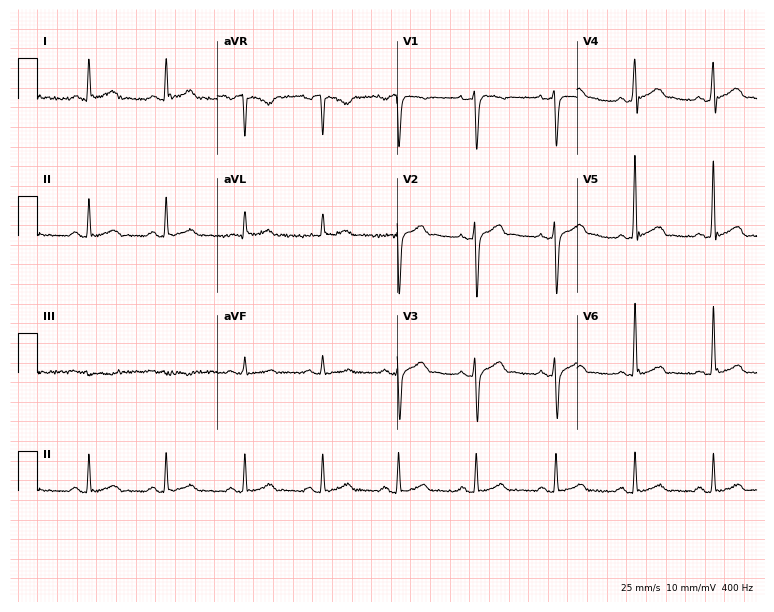
12-lead ECG from a 45-year-old male patient. Labelled as a normal ECG.